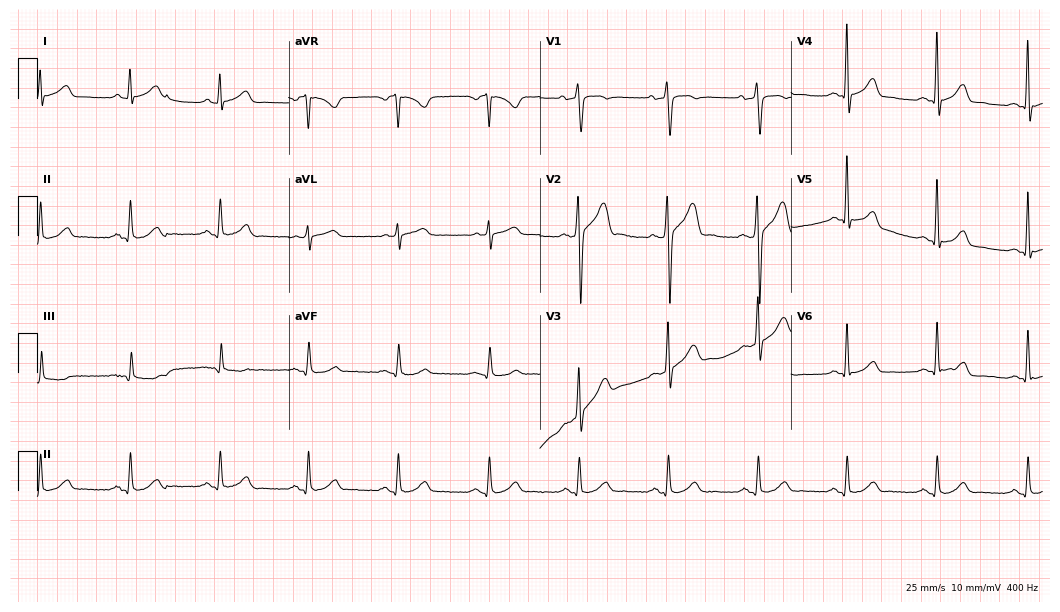
Electrocardiogram, a 51-year-old male. Overall reading on record: normal ECG.